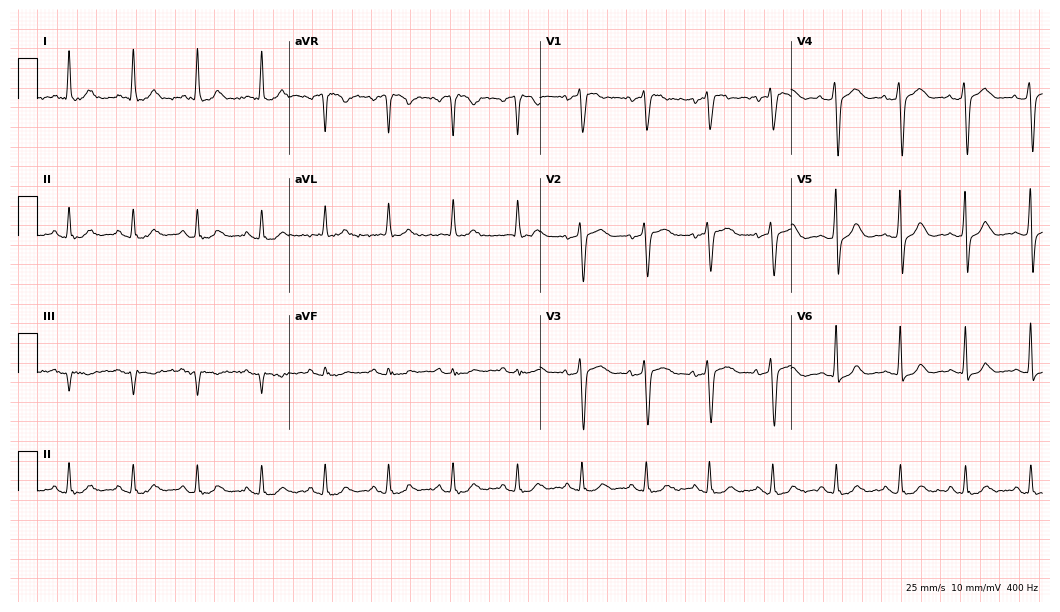
12-lead ECG from a female patient, 74 years old. Screened for six findings — first-degree AV block, right bundle branch block, left bundle branch block, sinus bradycardia, atrial fibrillation, sinus tachycardia — none is recorded.